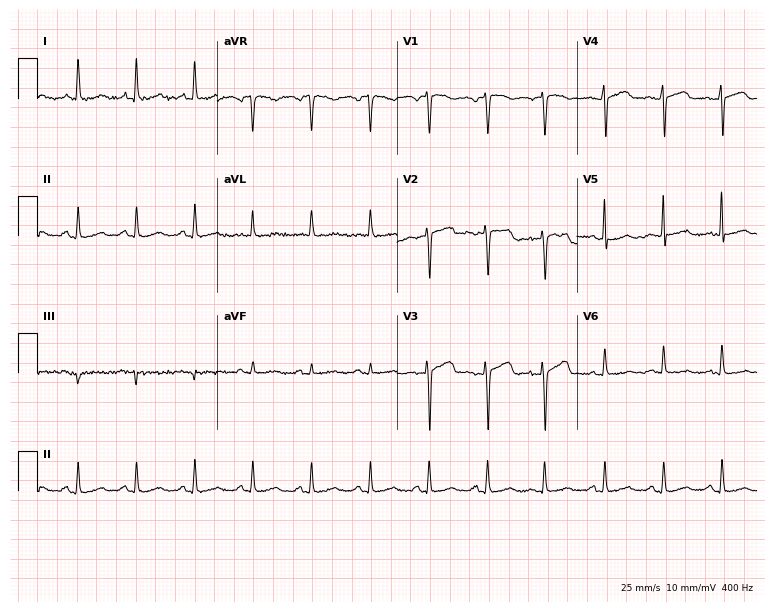
12-lead ECG (7.3-second recording at 400 Hz) from a 60-year-old woman. Screened for six findings — first-degree AV block, right bundle branch block, left bundle branch block, sinus bradycardia, atrial fibrillation, sinus tachycardia — none is recorded.